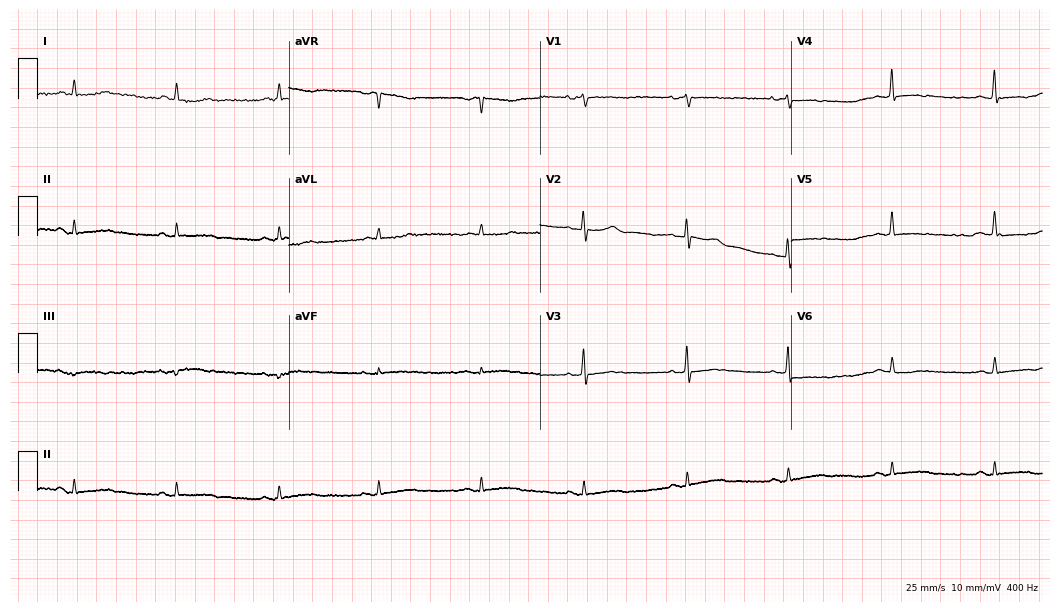
12-lead ECG from a female, 74 years old (10.2-second recording at 400 Hz). No first-degree AV block, right bundle branch block (RBBB), left bundle branch block (LBBB), sinus bradycardia, atrial fibrillation (AF) or sinus tachycardia recorded for this tracing.